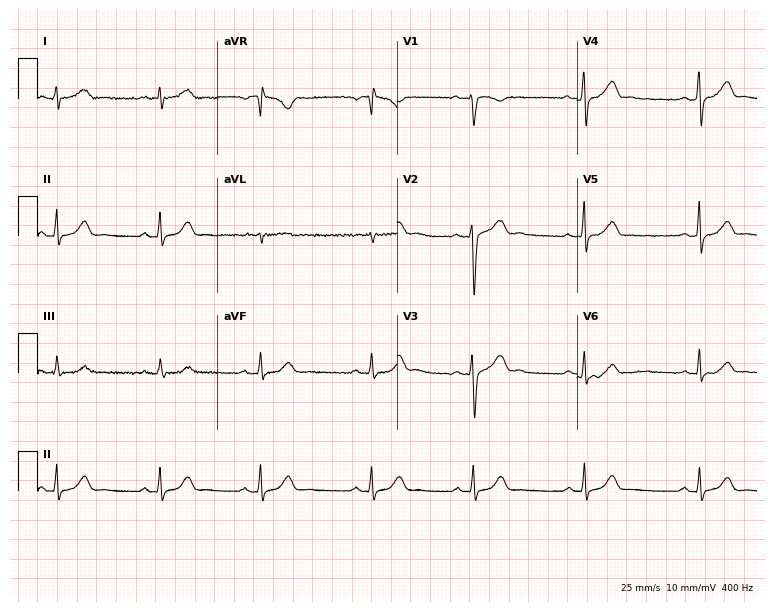
Electrocardiogram, a 39-year-old male patient. Overall reading on record: normal ECG.